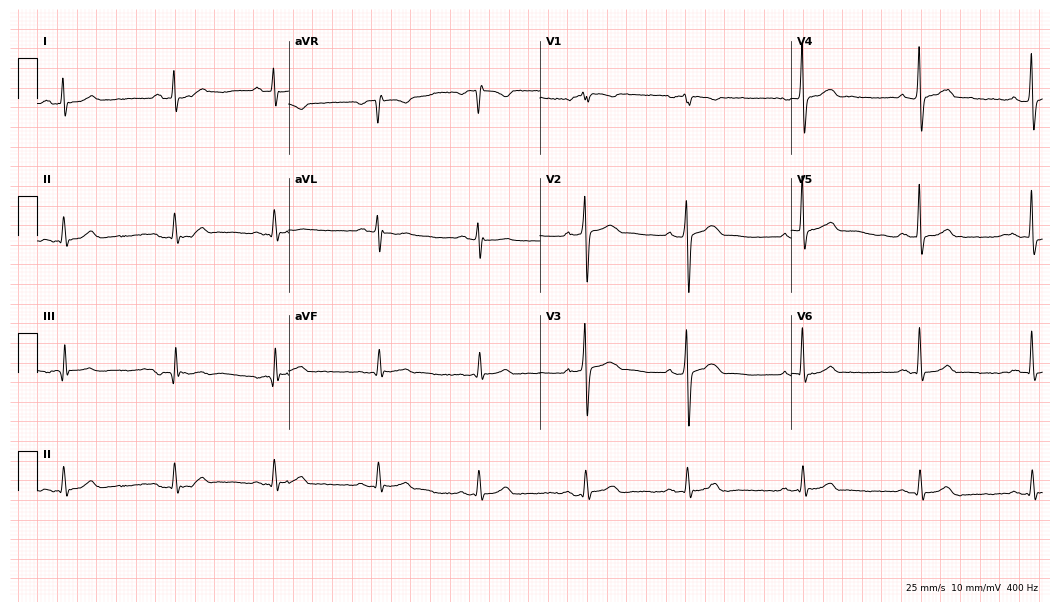
12-lead ECG from a 40-year-old man. Recorded interpretation: within normal limits.